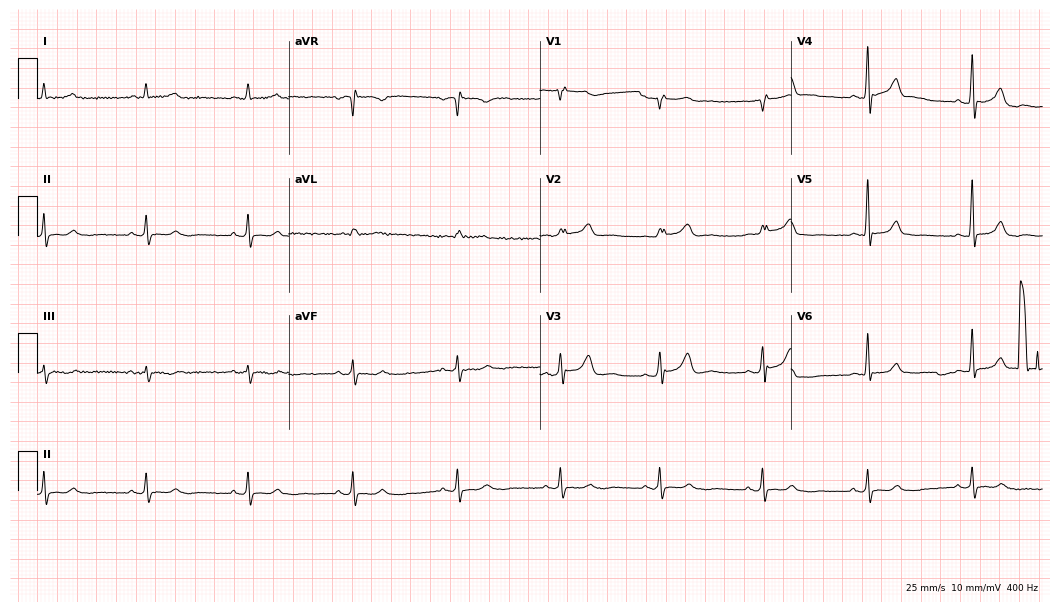
12-lead ECG from a 71-year-old male patient. No first-degree AV block, right bundle branch block (RBBB), left bundle branch block (LBBB), sinus bradycardia, atrial fibrillation (AF) or sinus tachycardia recorded for this tracing. Only these six findings were labelled.